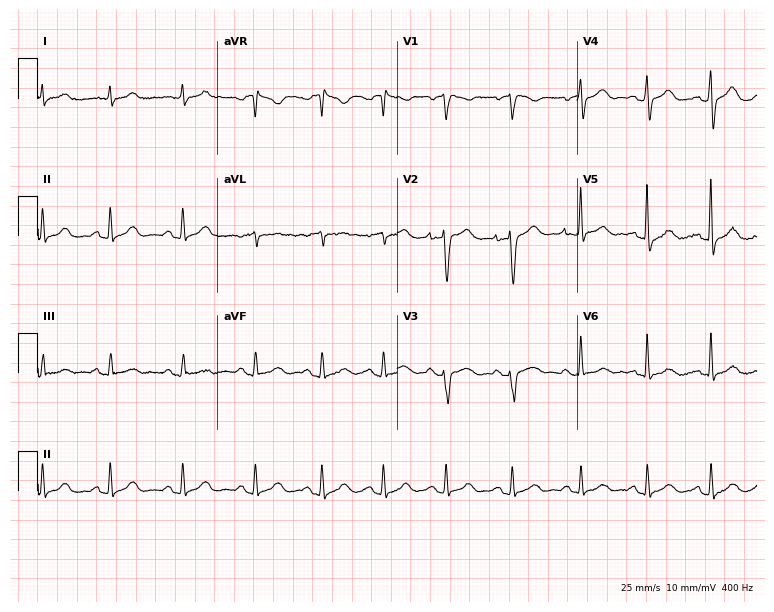
12-lead ECG from a 58-year-old woman. No first-degree AV block, right bundle branch block (RBBB), left bundle branch block (LBBB), sinus bradycardia, atrial fibrillation (AF) or sinus tachycardia recorded for this tracing.